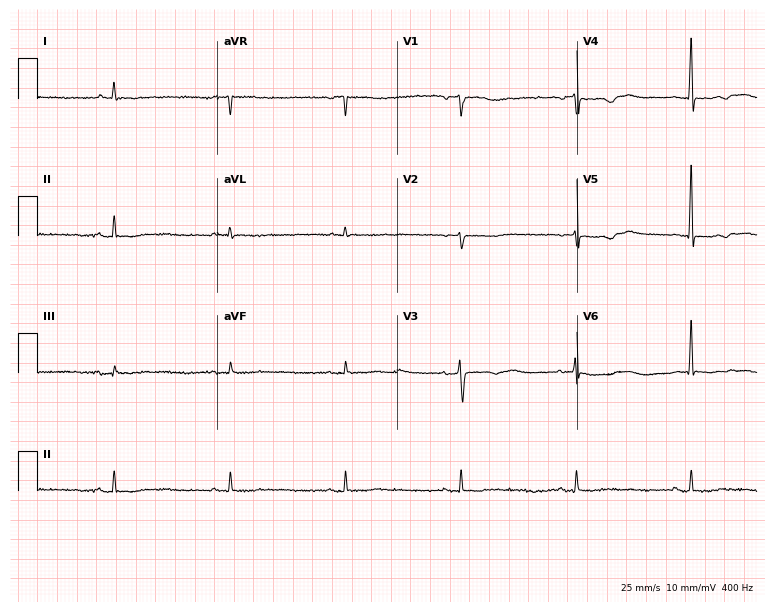
12-lead ECG (7.3-second recording at 400 Hz) from a 66-year-old female. Screened for six findings — first-degree AV block, right bundle branch block, left bundle branch block, sinus bradycardia, atrial fibrillation, sinus tachycardia — none is recorded.